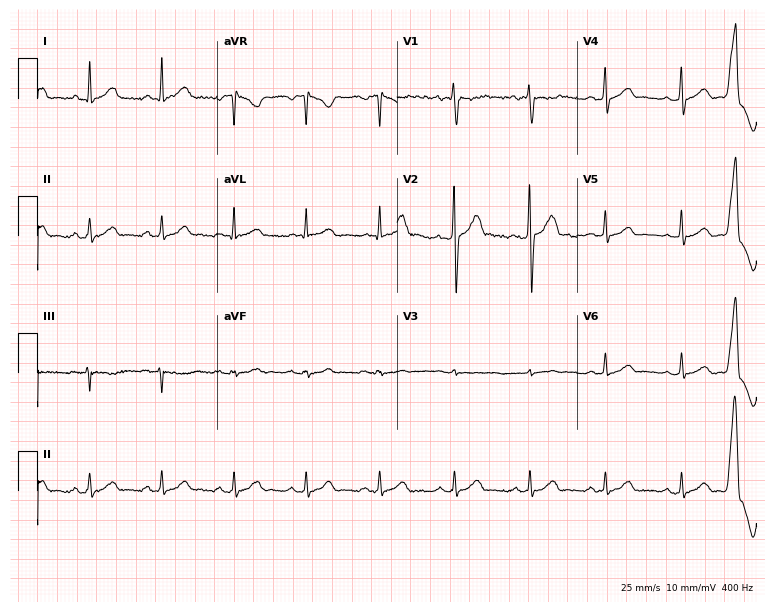
Electrocardiogram (7.3-second recording at 400 Hz), a 17-year-old male. Of the six screened findings (first-degree AV block, right bundle branch block, left bundle branch block, sinus bradycardia, atrial fibrillation, sinus tachycardia), none is recorded.